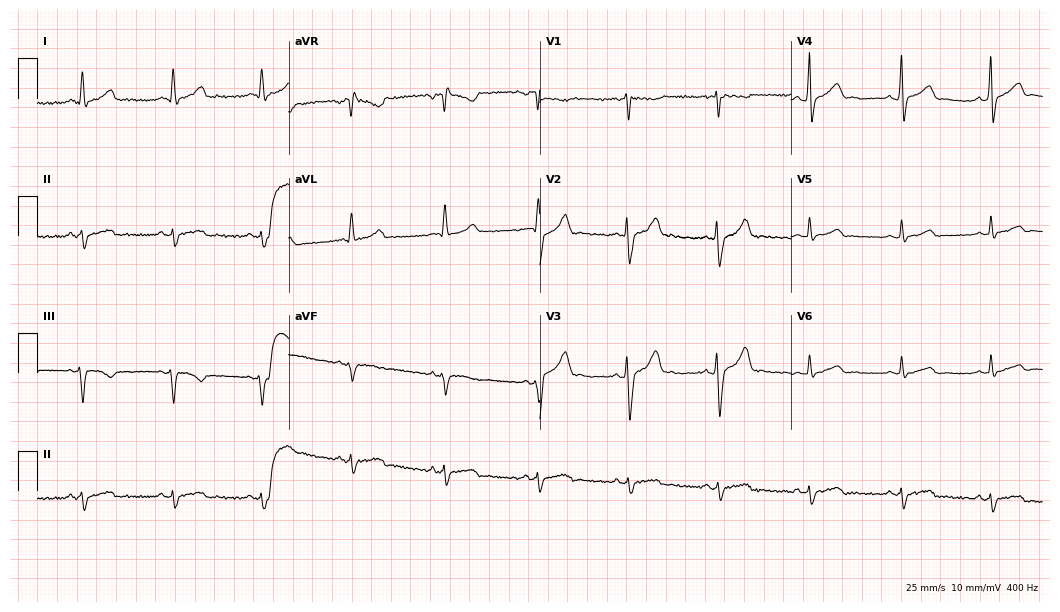
ECG — a male, 37 years old. Screened for six findings — first-degree AV block, right bundle branch block, left bundle branch block, sinus bradycardia, atrial fibrillation, sinus tachycardia — none is recorded. Other findings, if any, are not listed.